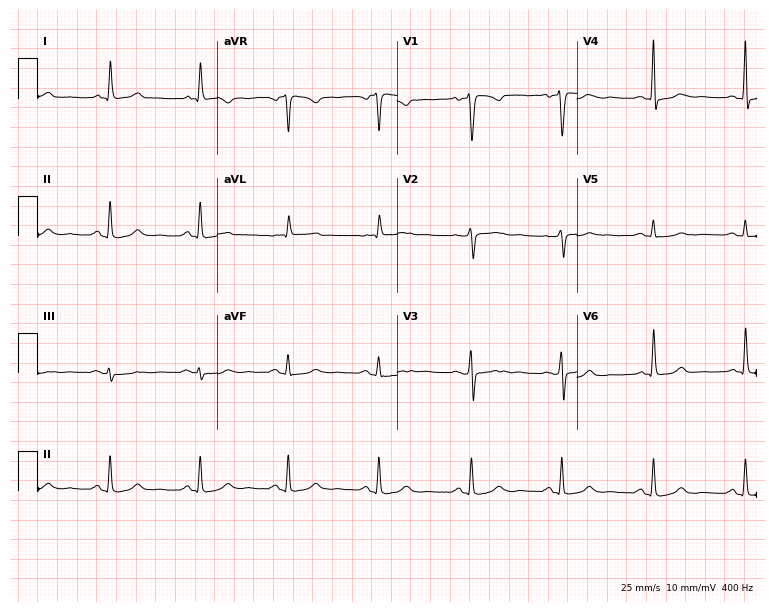
Electrocardiogram, a woman, 46 years old. Of the six screened findings (first-degree AV block, right bundle branch block, left bundle branch block, sinus bradycardia, atrial fibrillation, sinus tachycardia), none is recorded. Other findings, if any, are not listed.